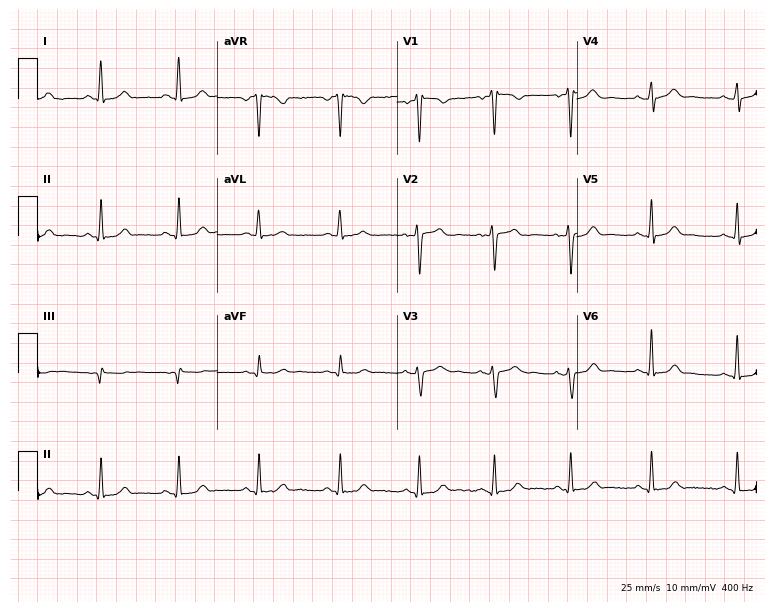
Electrocardiogram, a 41-year-old woman. Of the six screened findings (first-degree AV block, right bundle branch block, left bundle branch block, sinus bradycardia, atrial fibrillation, sinus tachycardia), none is recorded. Only these six findings were labelled.